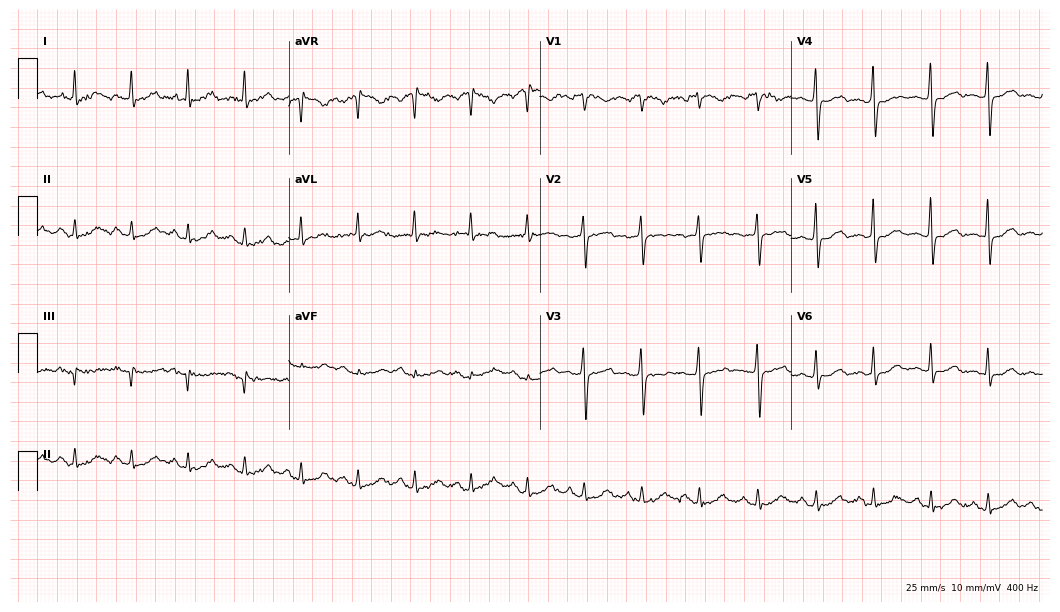
12-lead ECG (10.2-second recording at 400 Hz) from a woman, 53 years old. Findings include sinus tachycardia (a sinus rate of 100 beats per minute or more).